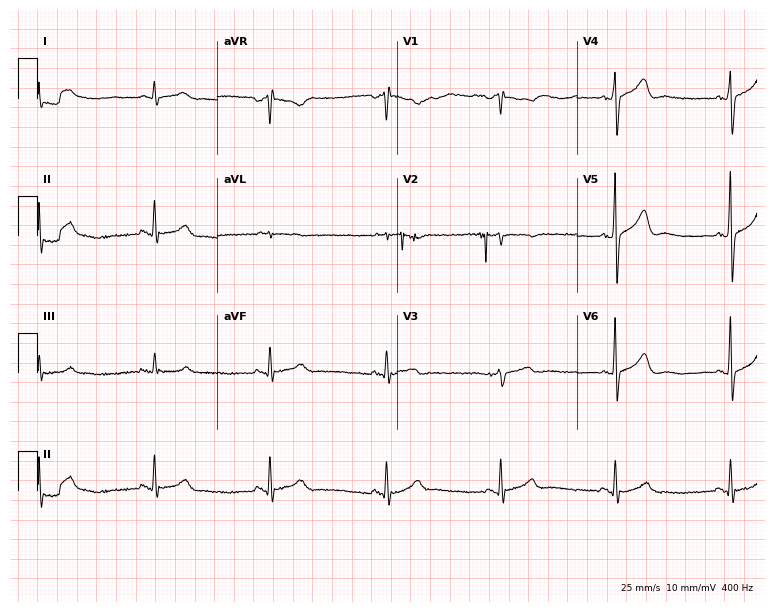
12-lead ECG from a 71-year-old man (7.3-second recording at 400 Hz). Recorded interpretation: within normal limits.